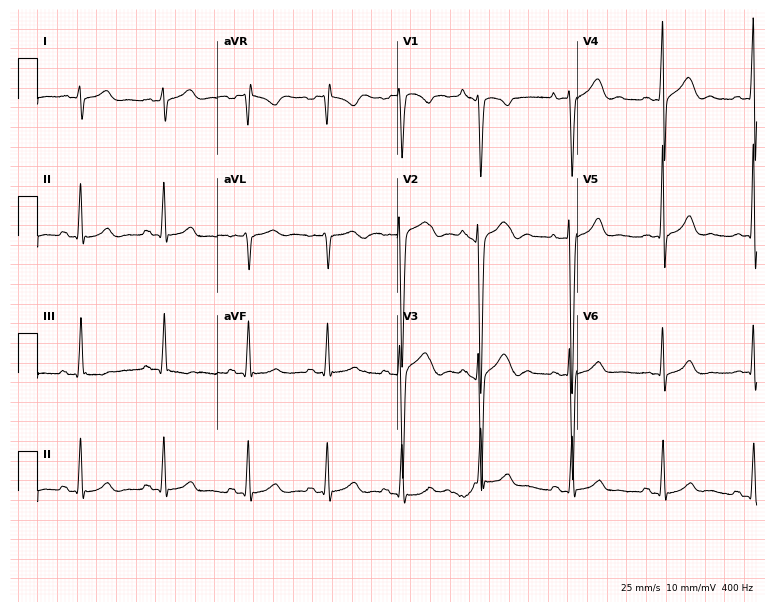
Electrocardiogram, a male patient, 22 years old. Of the six screened findings (first-degree AV block, right bundle branch block, left bundle branch block, sinus bradycardia, atrial fibrillation, sinus tachycardia), none is recorded.